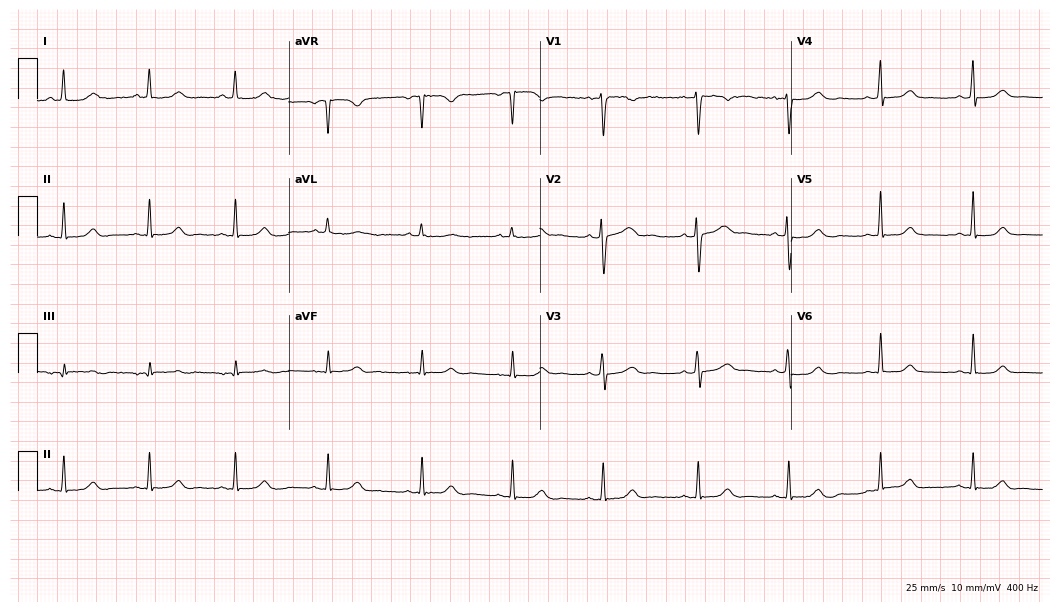
12-lead ECG from a 34-year-old woman. Screened for six findings — first-degree AV block, right bundle branch block (RBBB), left bundle branch block (LBBB), sinus bradycardia, atrial fibrillation (AF), sinus tachycardia — none is recorded.